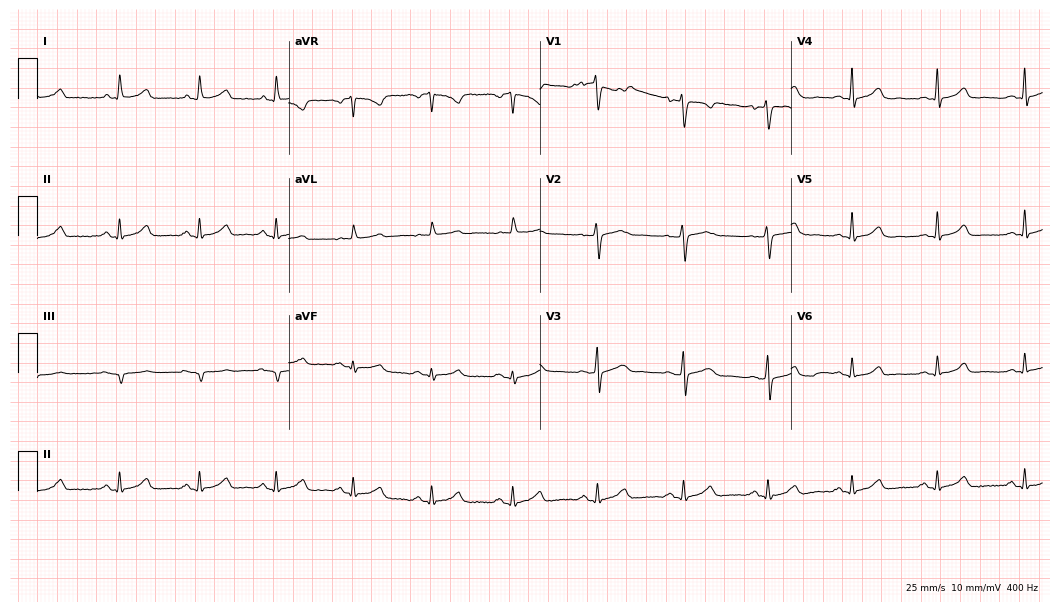
Standard 12-lead ECG recorded from a female, 49 years old. Read as a normal ECG.